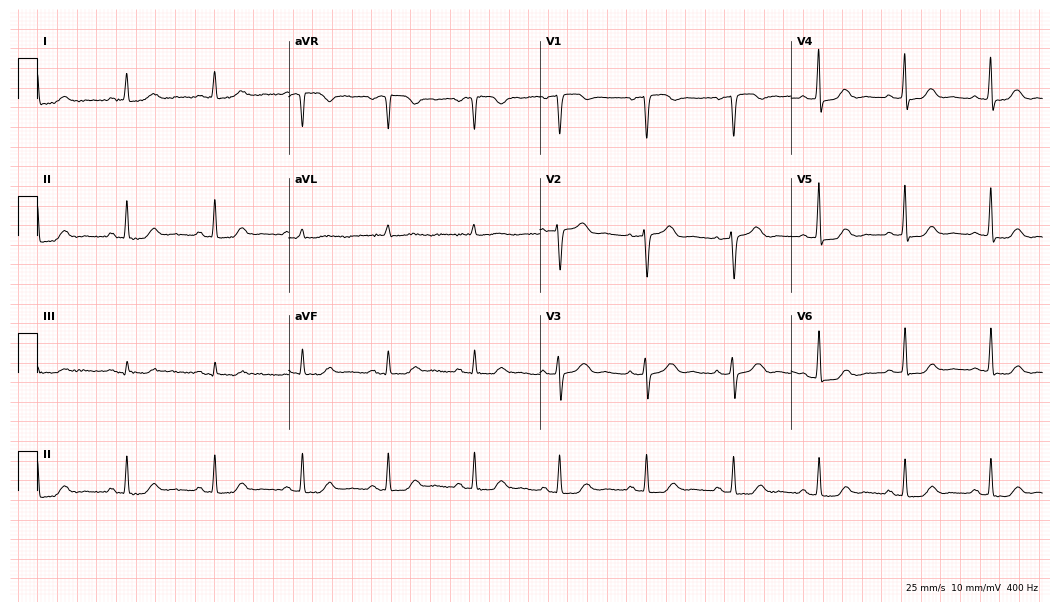
12-lead ECG from a woman, 78 years old. Screened for six findings — first-degree AV block, right bundle branch block, left bundle branch block, sinus bradycardia, atrial fibrillation, sinus tachycardia — none is recorded. Other findings, if any, are not listed.